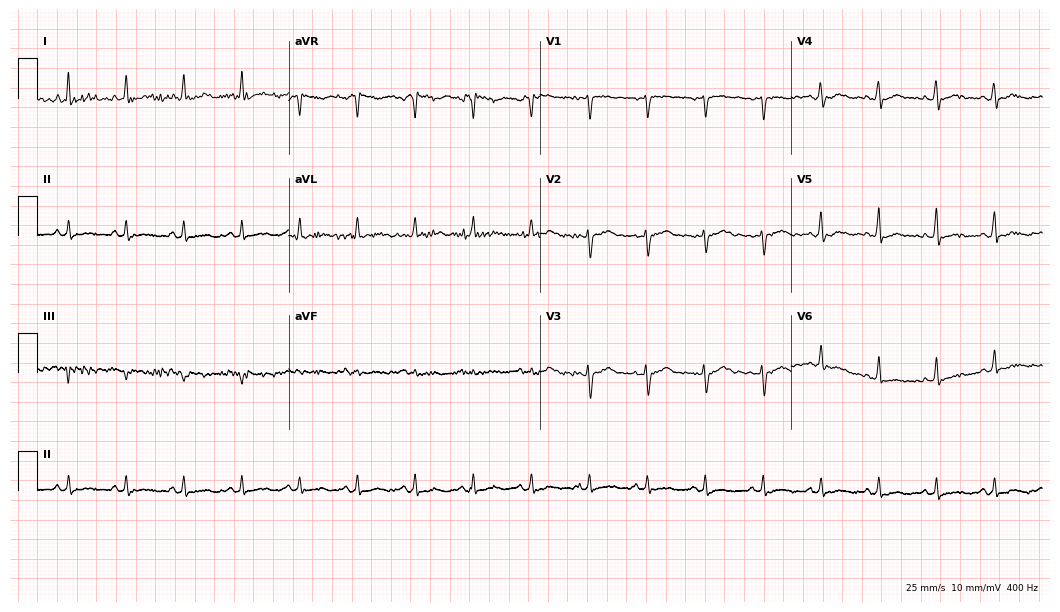
12-lead ECG (10.2-second recording at 400 Hz) from a woman, 27 years old. Findings include sinus tachycardia (a sinus rate of 100 beats per minute or more).